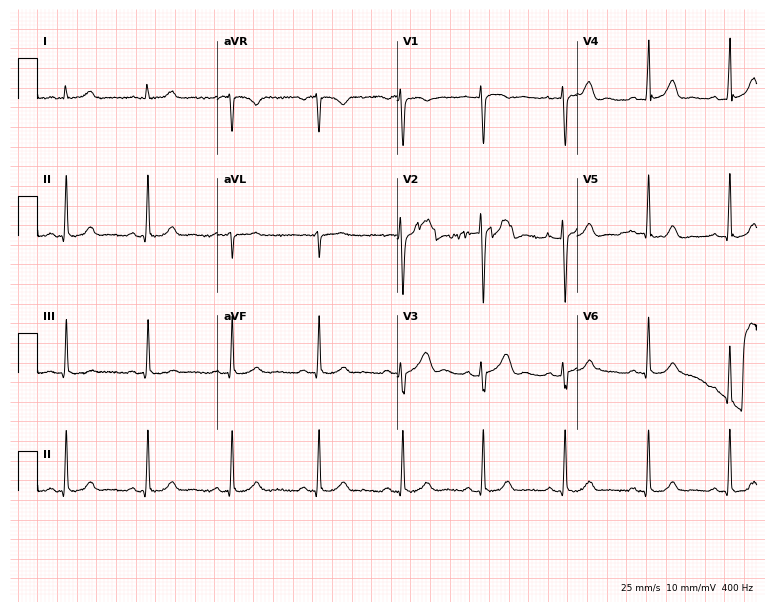
12-lead ECG (7.3-second recording at 400 Hz) from a woman, 26 years old. Screened for six findings — first-degree AV block, right bundle branch block, left bundle branch block, sinus bradycardia, atrial fibrillation, sinus tachycardia — none is recorded.